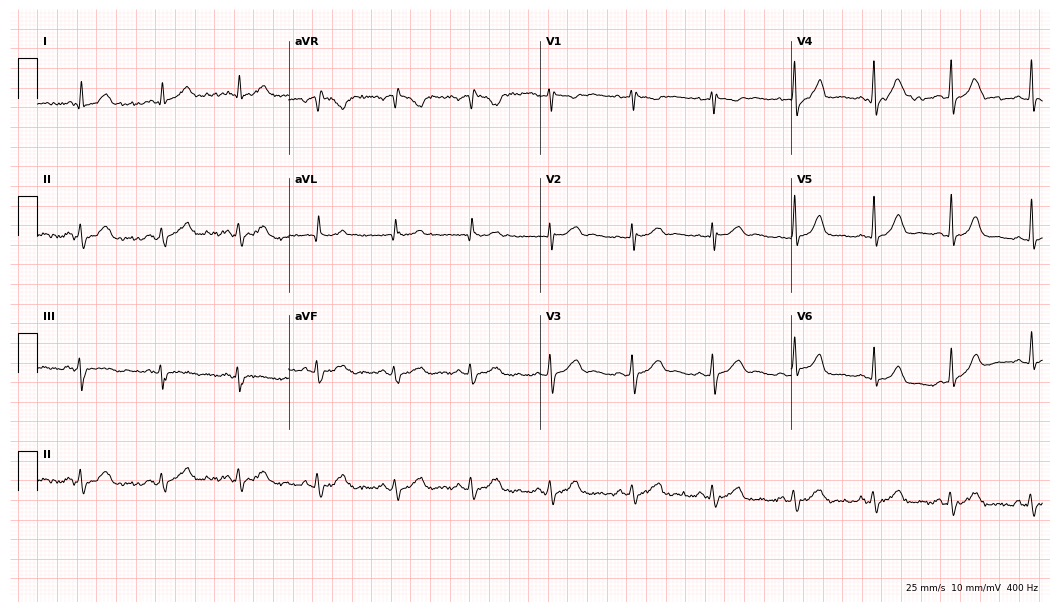
Electrocardiogram (10.2-second recording at 400 Hz), a female, 31 years old. Overall reading on record: normal ECG.